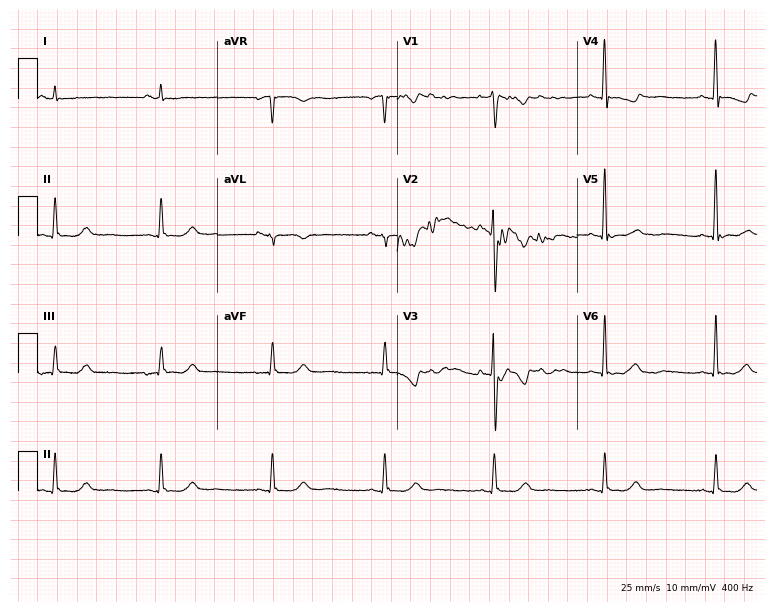
Electrocardiogram, a female patient, 48 years old. Of the six screened findings (first-degree AV block, right bundle branch block, left bundle branch block, sinus bradycardia, atrial fibrillation, sinus tachycardia), none is recorded. Findings outside these six are not listed.